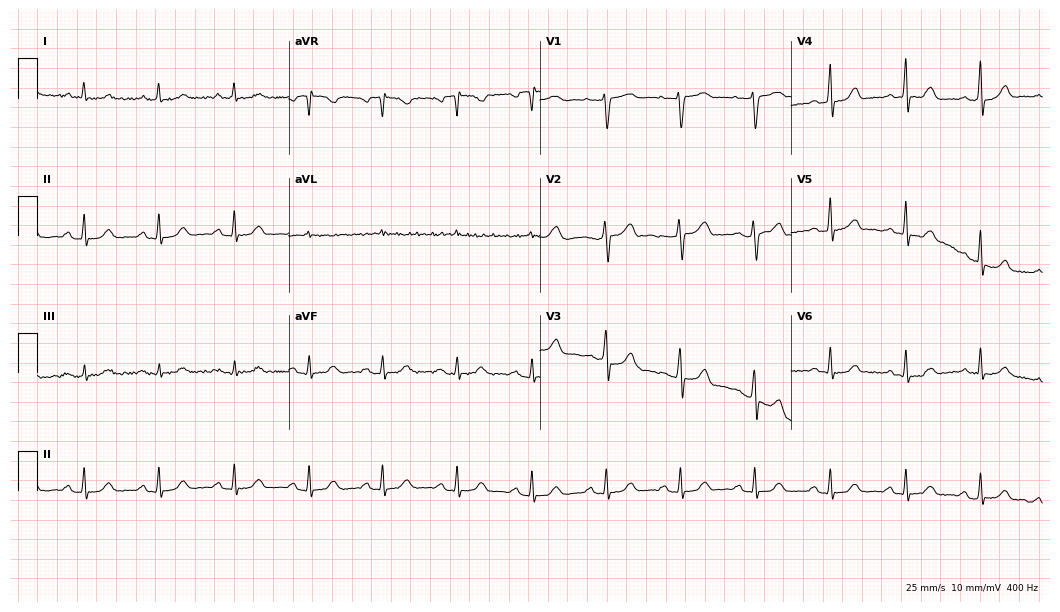
12-lead ECG from a 37-year-old female. Recorded interpretation: within normal limits.